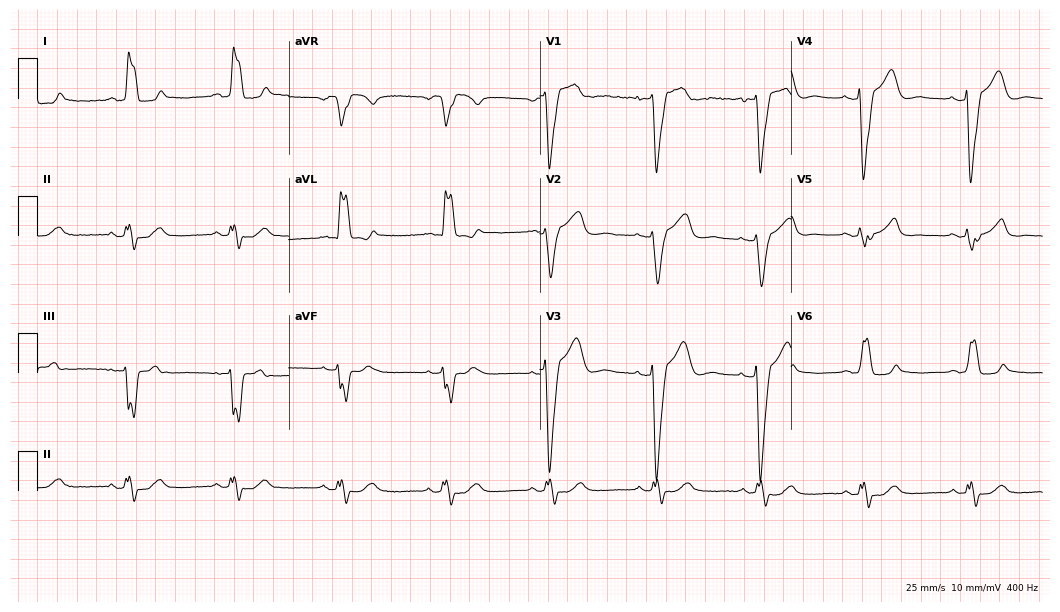
Standard 12-lead ECG recorded from a woman, 61 years old (10.2-second recording at 400 Hz). The tracing shows left bundle branch block.